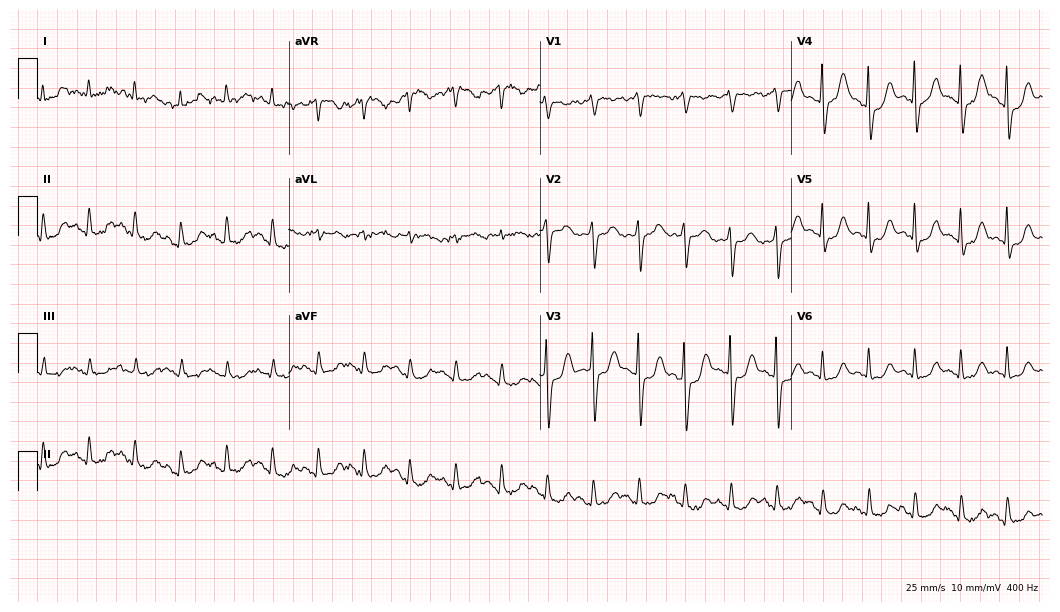
ECG — a male patient, 81 years old. Findings include sinus tachycardia (a sinus rate of 100 beats per minute or more).